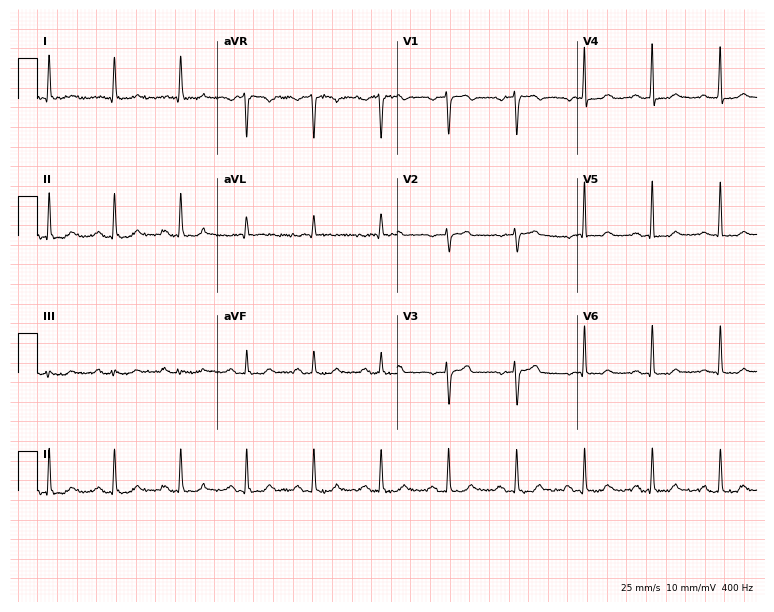
Standard 12-lead ECG recorded from a female patient, 50 years old. Read as a normal ECG.